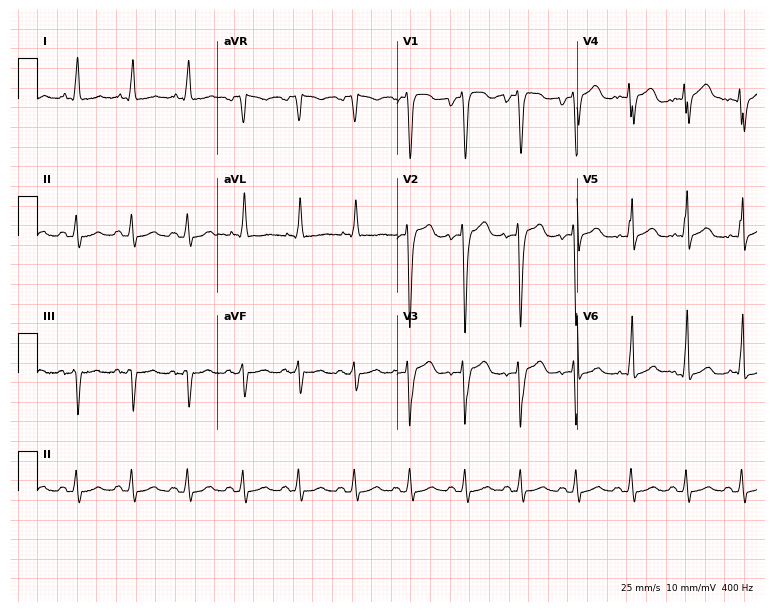
12-lead ECG from a man, 59 years old (7.3-second recording at 400 Hz). No first-degree AV block, right bundle branch block, left bundle branch block, sinus bradycardia, atrial fibrillation or sinus tachycardia recorded for this tracing.